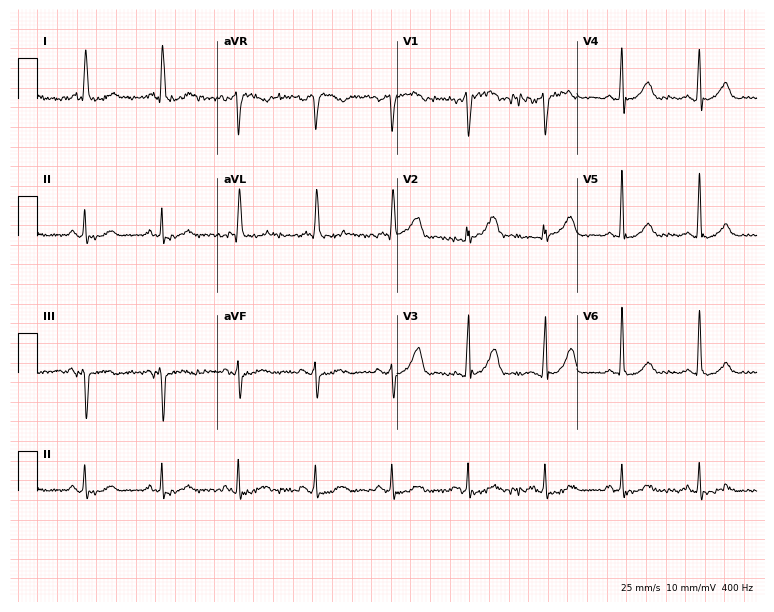
Electrocardiogram (7.3-second recording at 400 Hz), a woman, 72 years old. Of the six screened findings (first-degree AV block, right bundle branch block (RBBB), left bundle branch block (LBBB), sinus bradycardia, atrial fibrillation (AF), sinus tachycardia), none is recorded.